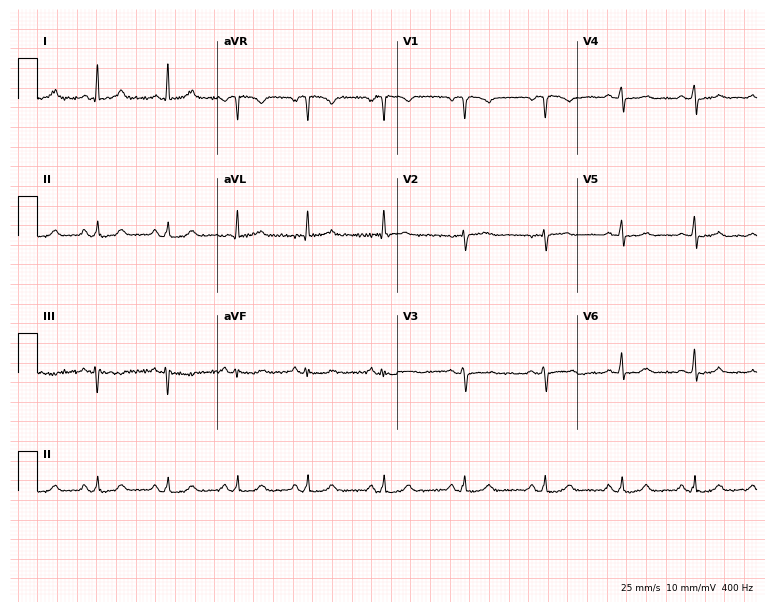
12-lead ECG from a woman, 39 years old. Labelled as a normal ECG.